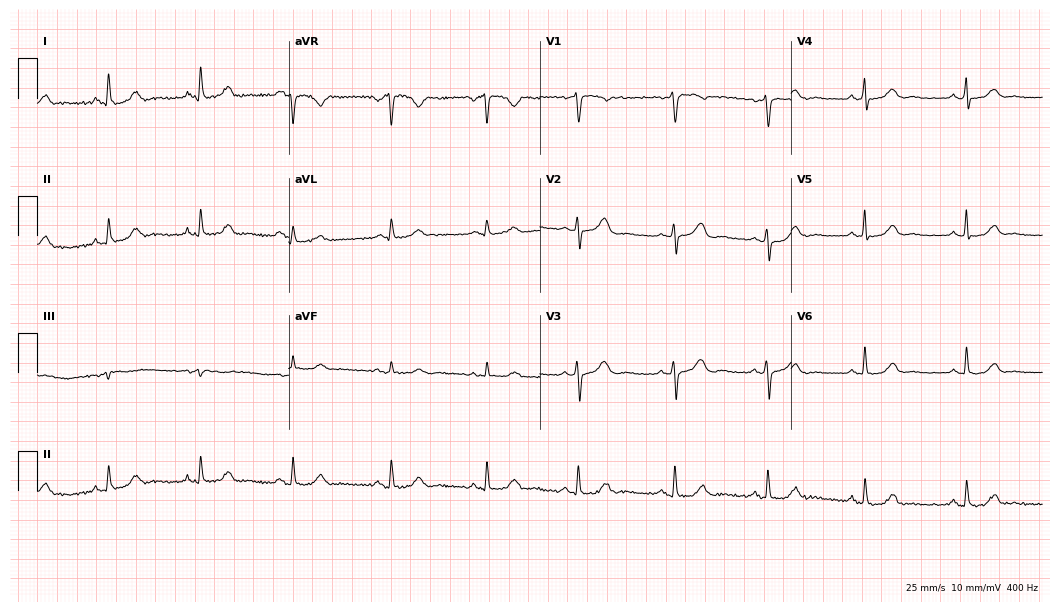
ECG (10.2-second recording at 400 Hz) — a female, 57 years old. Labelled as a normal ECG.